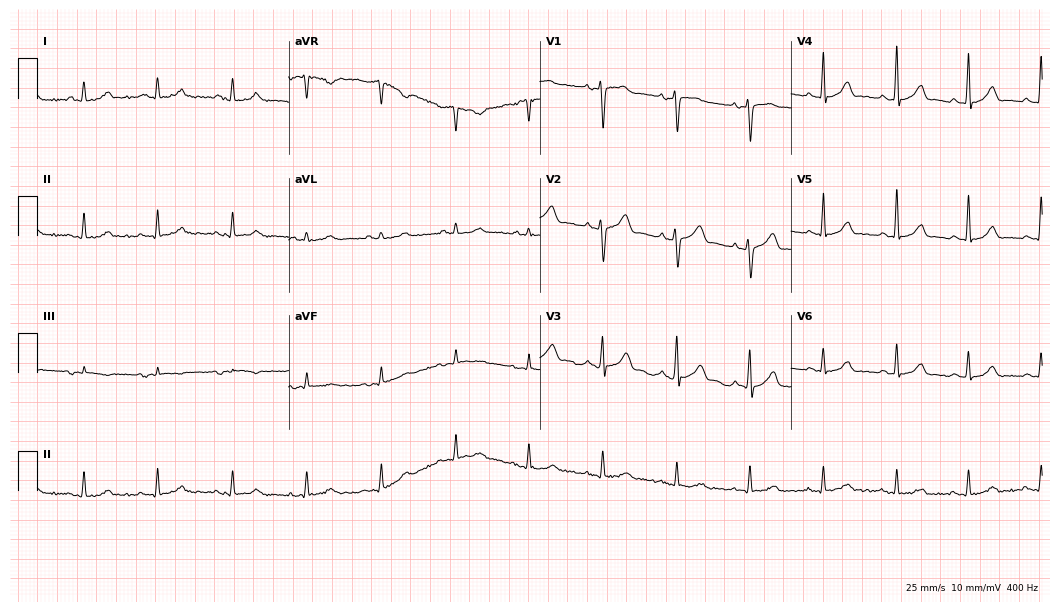
Electrocardiogram (10.2-second recording at 400 Hz), a 62-year-old man. Overall reading on record: normal ECG.